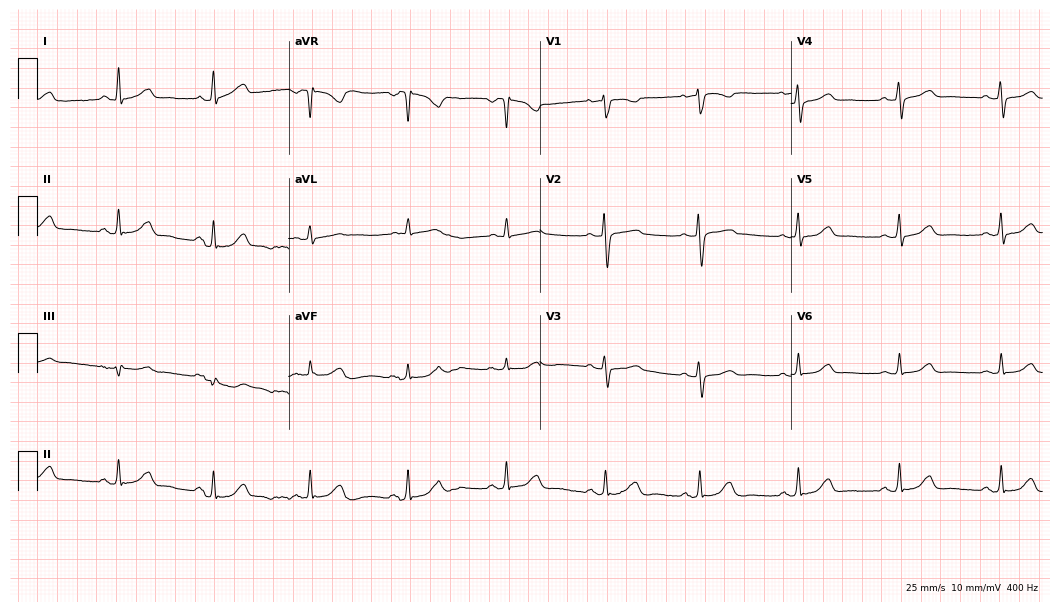
Electrocardiogram, a female, 53 years old. Overall reading on record: normal ECG.